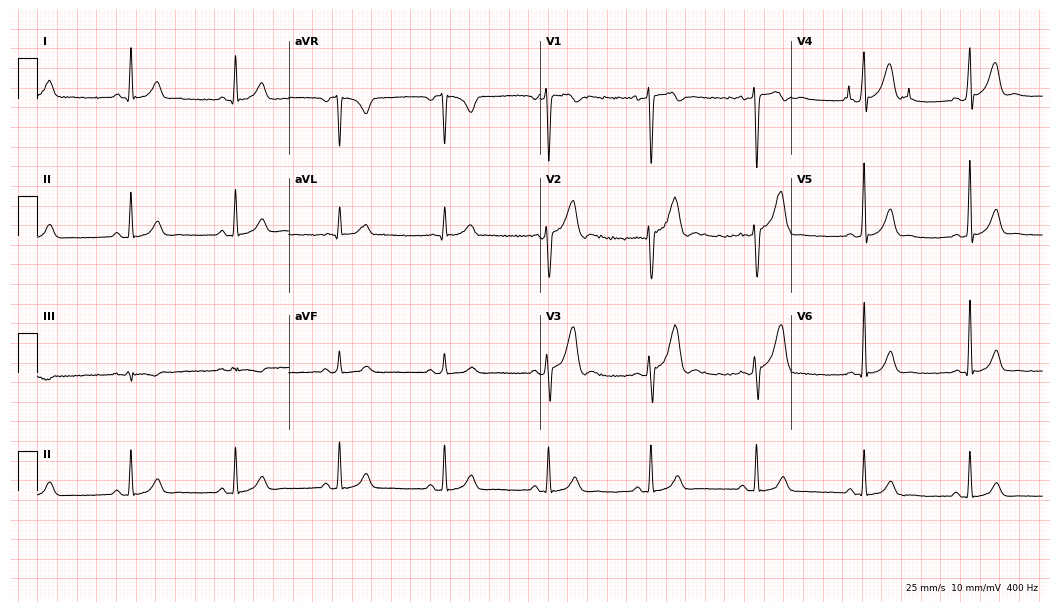
Standard 12-lead ECG recorded from a man, 31 years old (10.2-second recording at 400 Hz). None of these six findings is recorded: first-degree AV block, right bundle branch block (RBBB), left bundle branch block (LBBB), sinus bradycardia, atrial fibrillation (AF), sinus tachycardia. Other findings, if any, are not listed.